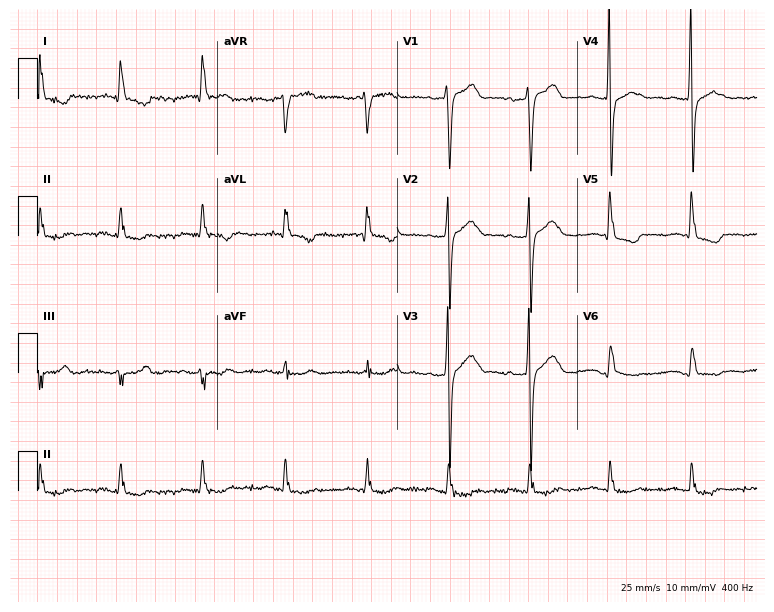
12-lead ECG from a female, 79 years old (7.3-second recording at 400 Hz). No first-degree AV block, right bundle branch block, left bundle branch block, sinus bradycardia, atrial fibrillation or sinus tachycardia recorded for this tracing. Only these six findings were labelled.